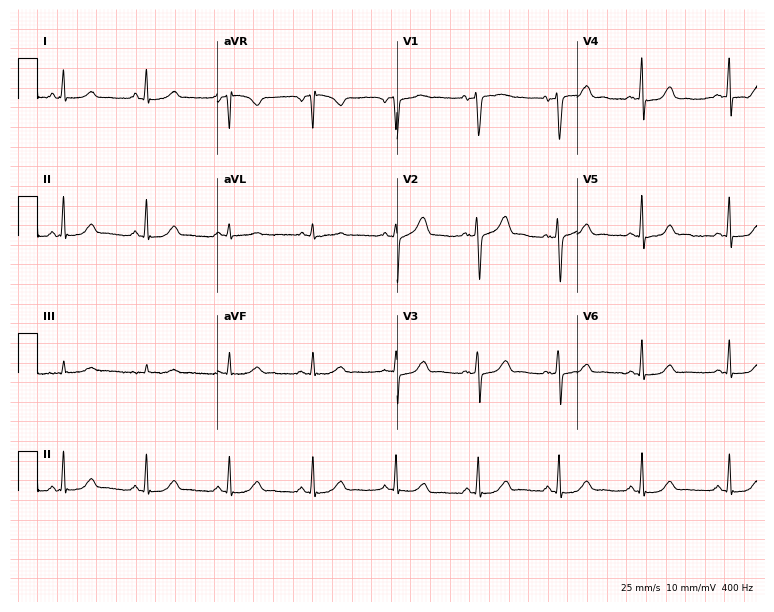
12-lead ECG from a 42-year-old female. Labelled as a normal ECG.